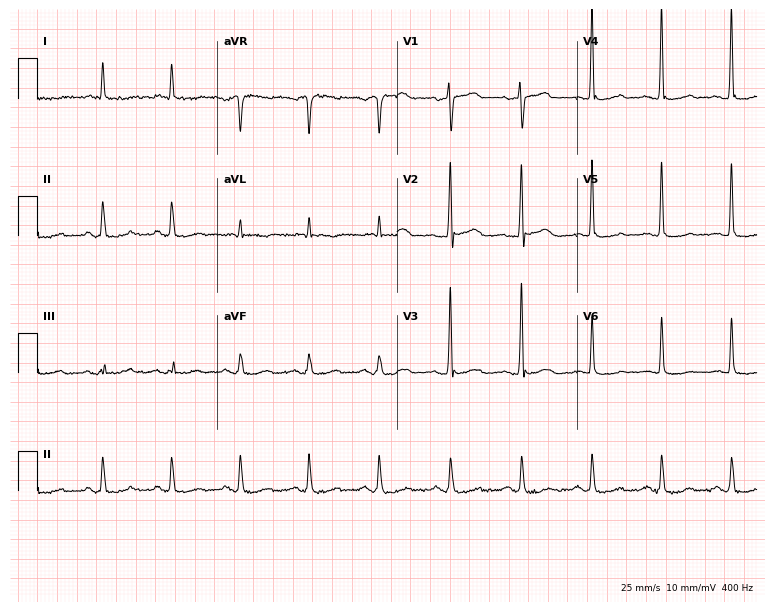
Standard 12-lead ECG recorded from a 60-year-old man (7.3-second recording at 400 Hz). None of these six findings is recorded: first-degree AV block, right bundle branch block, left bundle branch block, sinus bradycardia, atrial fibrillation, sinus tachycardia. Other findings, if any, are not listed.